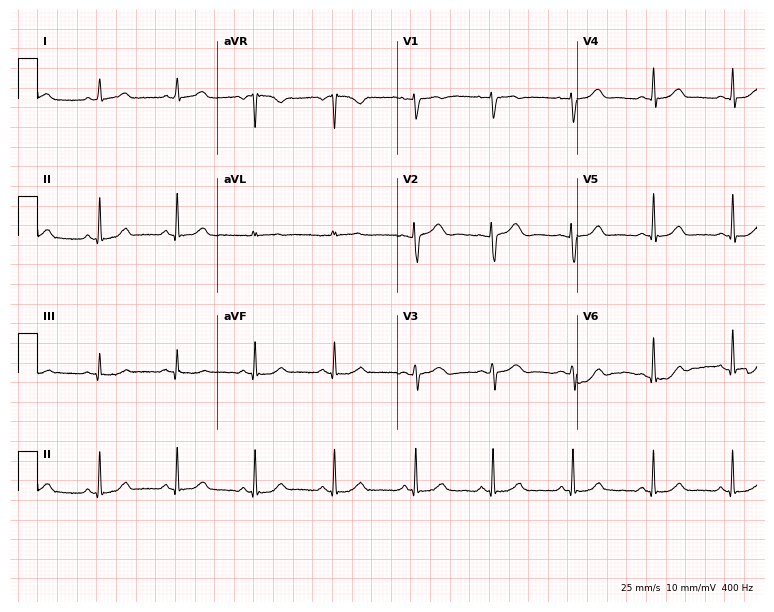
12-lead ECG from a female patient, 33 years old. Labelled as a normal ECG.